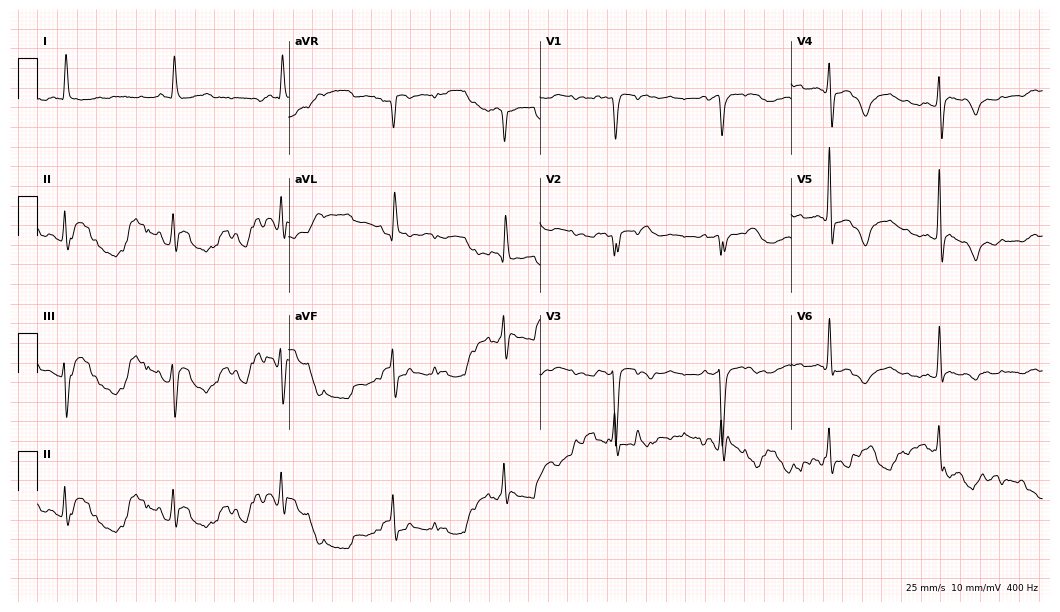
Standard 12-lead ECG recorded from a 61-year-old female patient. None of these six findings is recorded: first-degree AV block, right bundle branch block, left bundle branch block, sinus bradycardia, atrial fibrillation, sinus tachycardia.